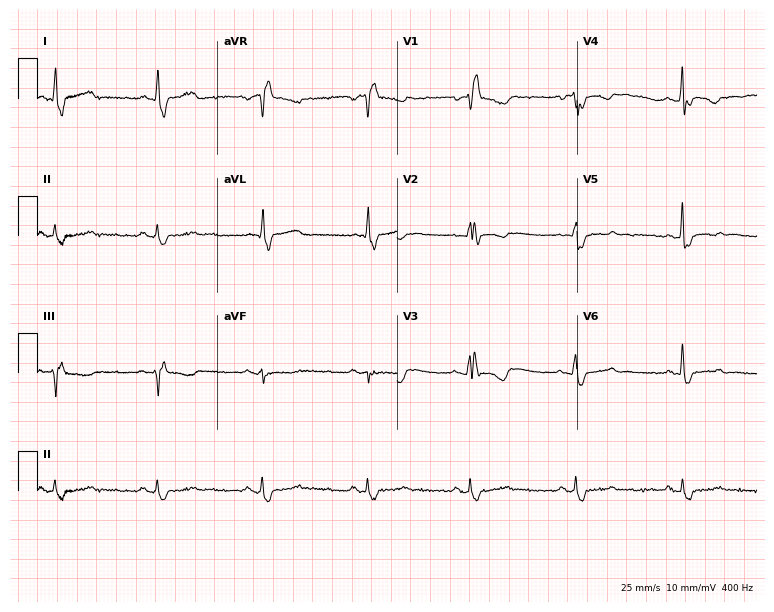
Electrocardiogram (7.3-second recording at 400 Hz), a female, 49 years old. Interpretation includes right bundle branch block.